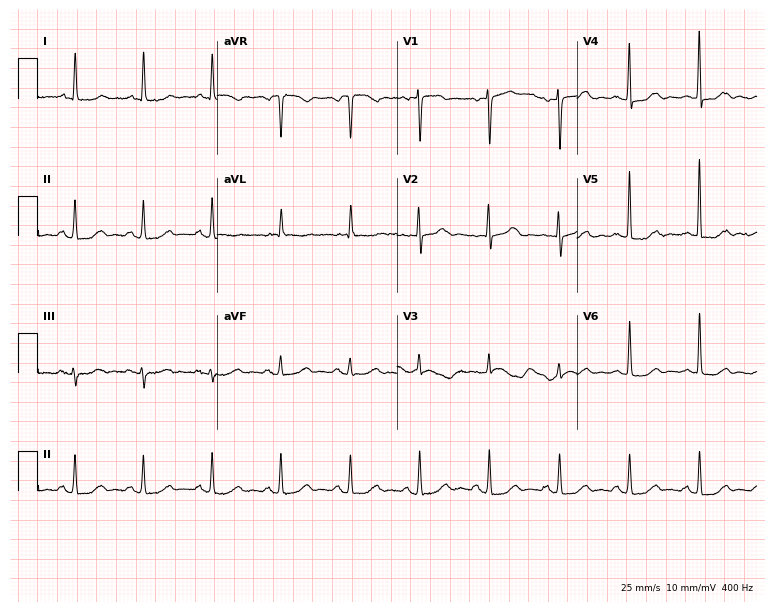
12-lead ECG from a female, 78 years old. Screened for six findings — first-degree AV block, right bundle branch block, left bundle branch block, sinus bradycardia, atrial fibrillation, sinus tachycardia — none is recorded.